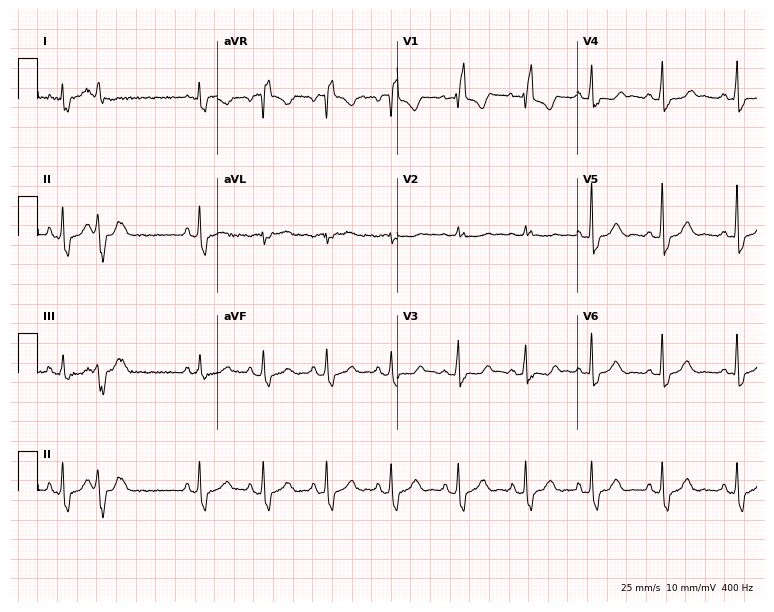
Resting 12-lead electrocardiogram (7.3-second recording at 400 Hz). Patient: a woman, 53 years old. The tracing shows right bundle branch block.